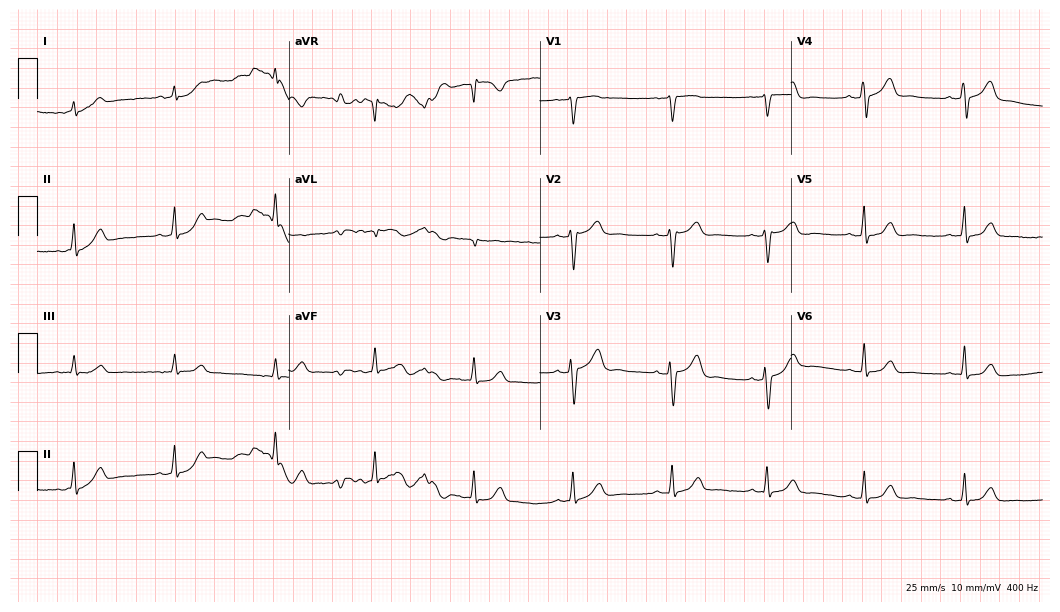
Standard 12-lead ECG recorded from a 52-year-old male. Read as a normal ECG.